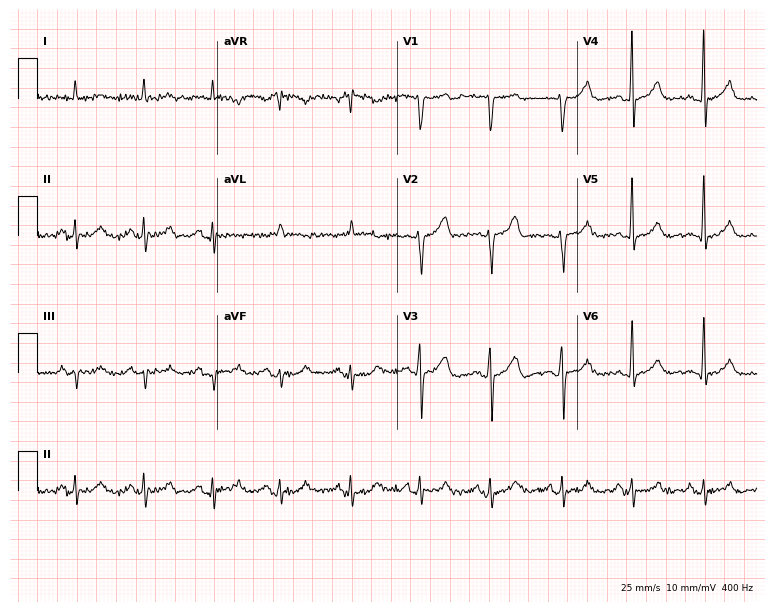
Electrocardiogram, a male patient, 52 years old. Of the six screened findings (first-degree AV block, right bundle branch block (RBBB), left bundle branch block (LBBB), sinus bradycardia, atrial fibrillation (AF), sinus tachycardia), none is recorded.